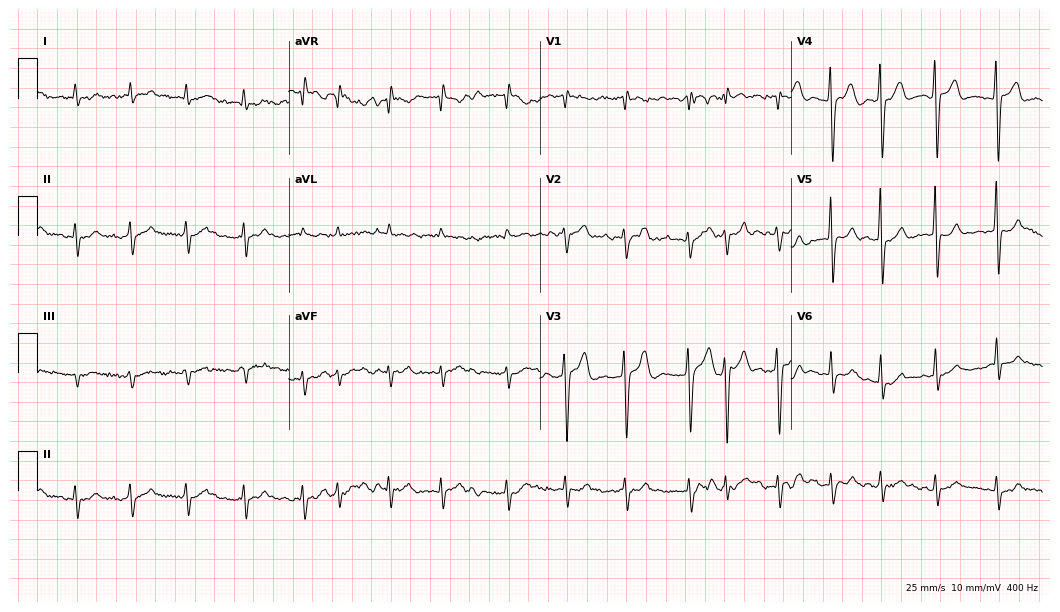
Resting 12-lead electrocardiogram (10.2-second recording at 400 Hz). Patient: a 79-year-old man. The tracing shows atrial fibrillation, sinus tachycardia (a sinus rate of 100 beats per minute or more).